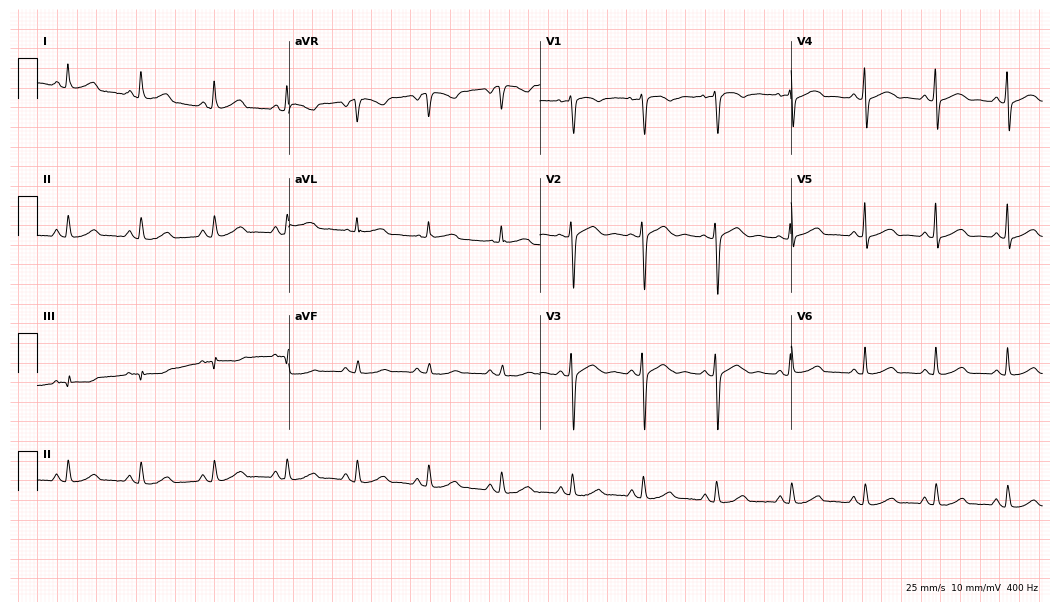
ECG — a 33-year-old woman. Labelled as a normal ECG.